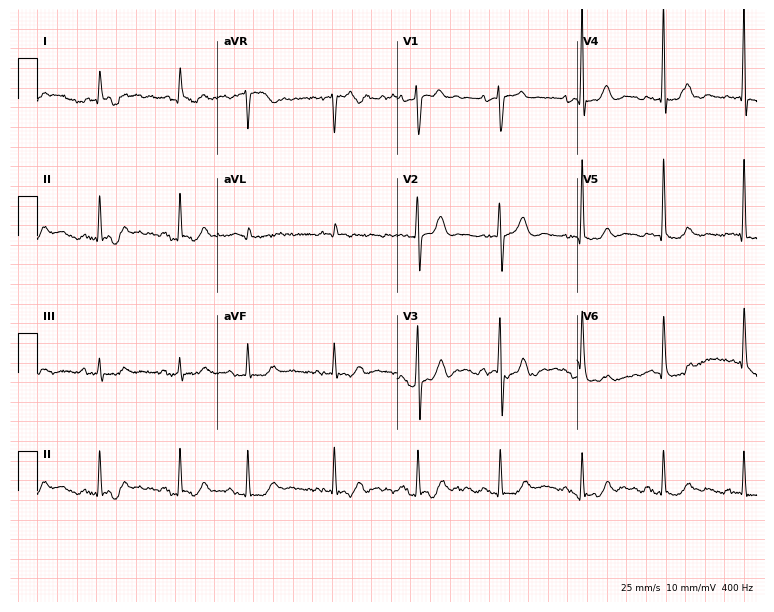
ECG — an 84-year-old male. Screened for six findings — first-degree AV block, right bundle branch block (RBBB), left bundle branch block (LBBB), sinus bradycardia, atrial fibrillation (AF), sinus tachycardia — none is recorded.